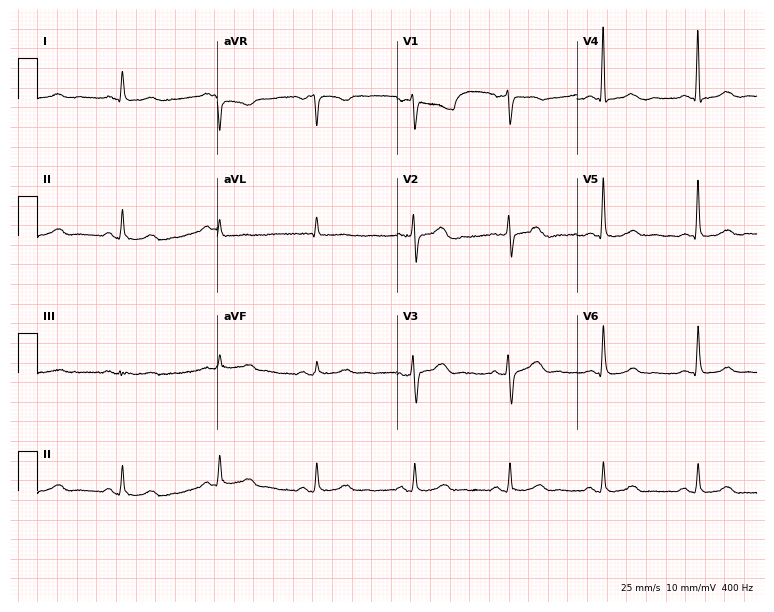
Resting 12-lead electrocardiogram (7.3-second recording at 400 Hz). Patient: a female, 66 years old. None of these six findings is recorded: first-degree AV block, right bundle branch block, left bundle branch block, sinus bradycardia, atrial fibrillation, sinus tachycardia.